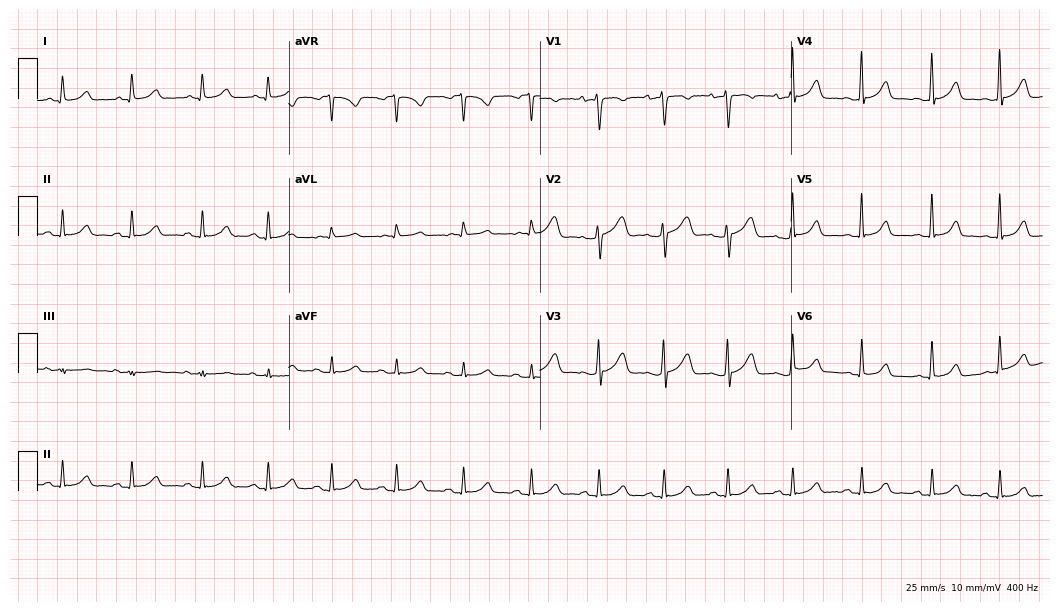
ECG — a 32-year-old woman. Screened for six findings — first-degree AV block, right bundle branch block, left bundle branch block, sinus bradycardia, atrial fibrillation, sinus tachycardia — none is recorded.